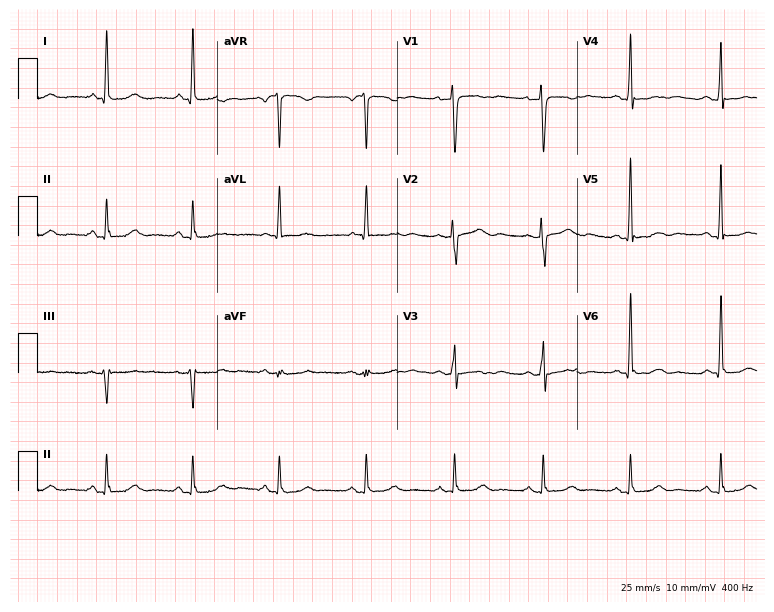
12-lead ECG from a 55-year-old female patient. Screened for six findings — first-degree AV block, right bundle branch block, left bundle branch block, sinus bradycardia, atrial fibrillation, sinus tachycardia — none is recorded. Only these six findings were labelled.